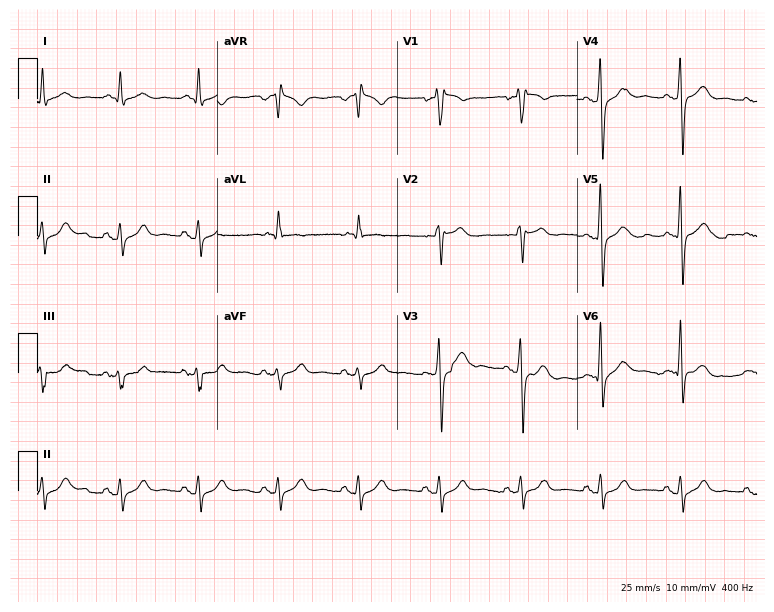
12-lead ECG (7.3-second recording at 400 Hz) from a male patient, 57 years old. Screened for six findings — first-degree AV block, right bundle branch block (RBBB), left bundle branch block (LBBB), sinus bradycardia, atrial fibrillation (AF), sinus tachycardia — none is recorded.